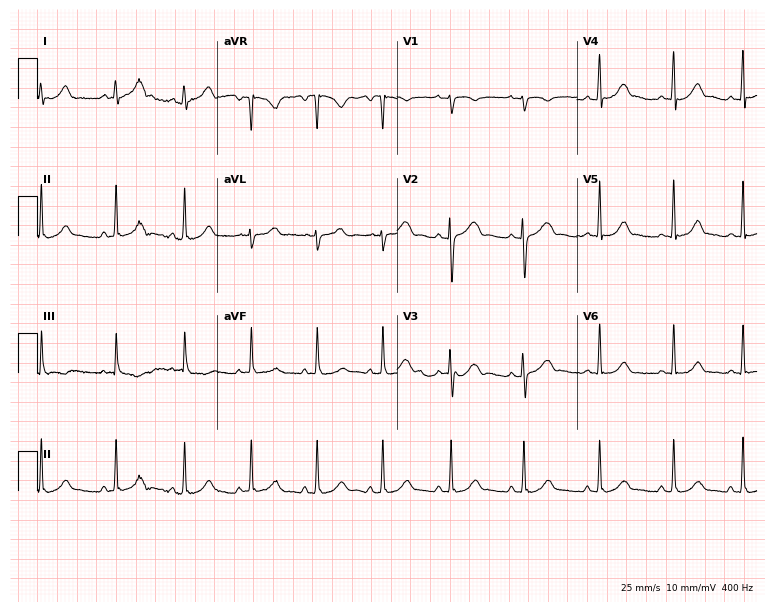
Electrocardiogram, a female, 24 years old. Of the six screened findings (first-degree AV block, right bundle branch block, left bundle branch block, sinus bradycardia, atrial fibrillation, sinus tachycardia), none is recorded. Other findings, if any, are not listed.